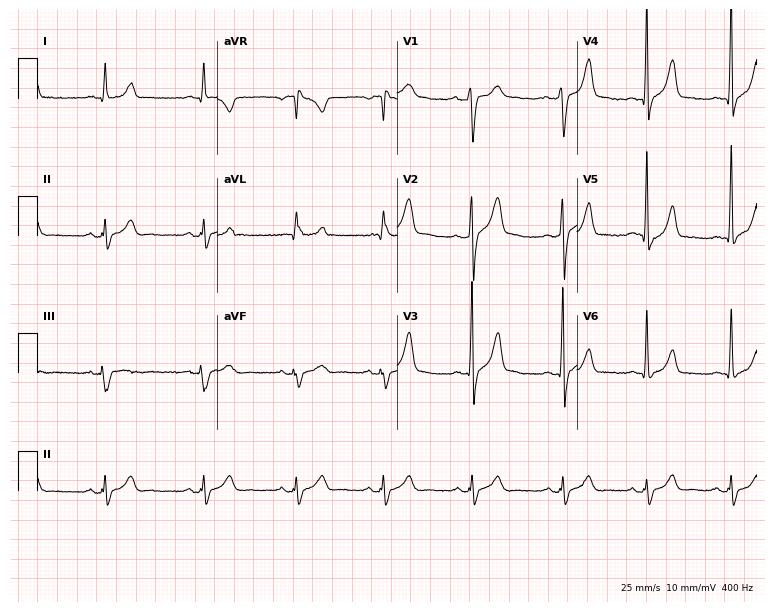
ECG — a male, 26 years old. Screened for six findings — first-degree AV block, right bundle branch block (RBBB), left bundle branch block (LBBB), sinus bradycardia, atrial fibrillation (AF), sinus tachycardia — none is recorded.